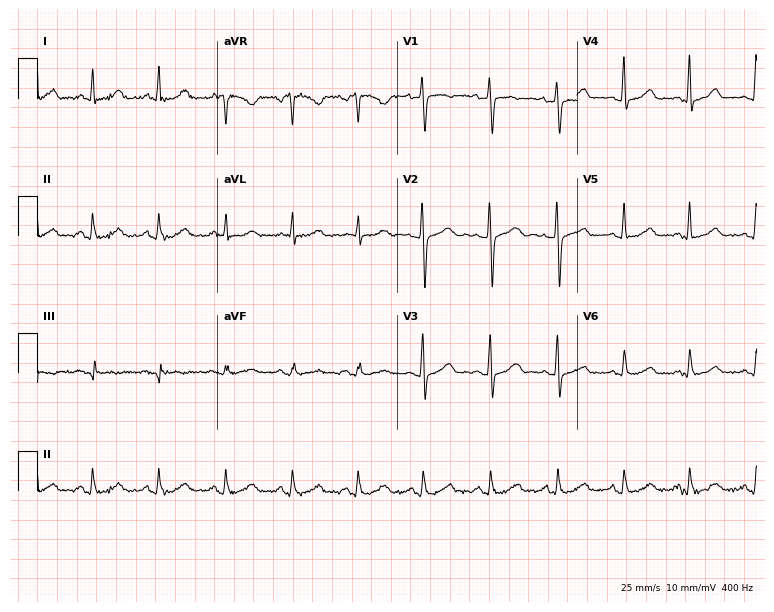
12-lead ECG from a female patient, 45 years old. Recorded interpretation: within normal limits.